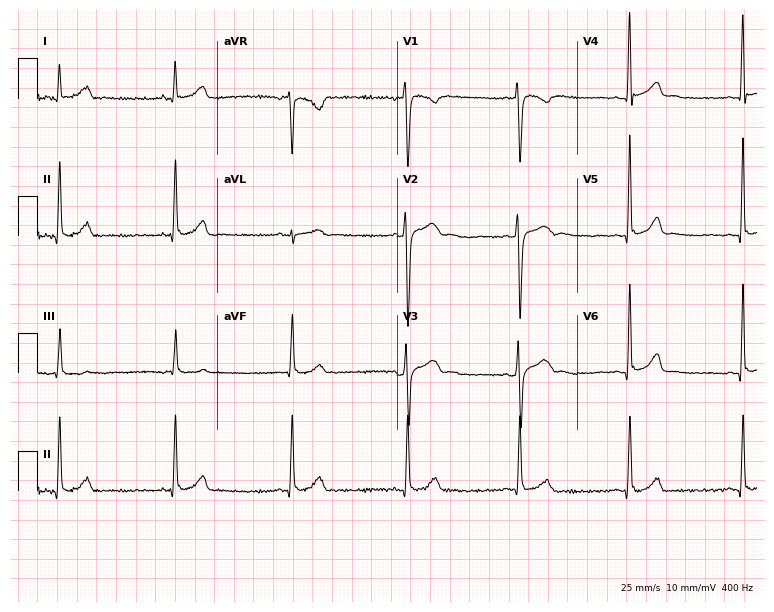
12-lead ECG from a 23-year-old female patient. Screened for six findings — first-degree AV block, right bundle branch block, left bundle branch block, sinus bradycardia, atrial fibrillation, sinus tachycardia — none is recorded.